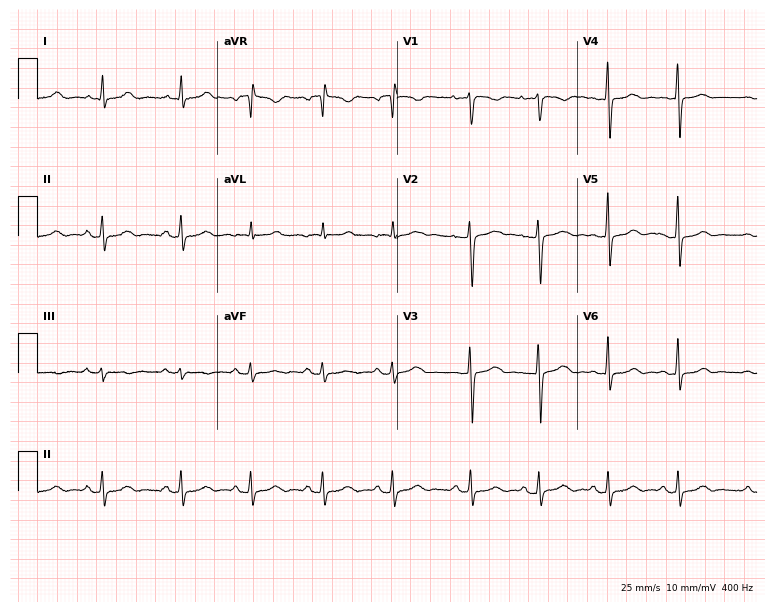
12-lead ECG from a female, 21 years old. Recorded interpretation: within normal limits.